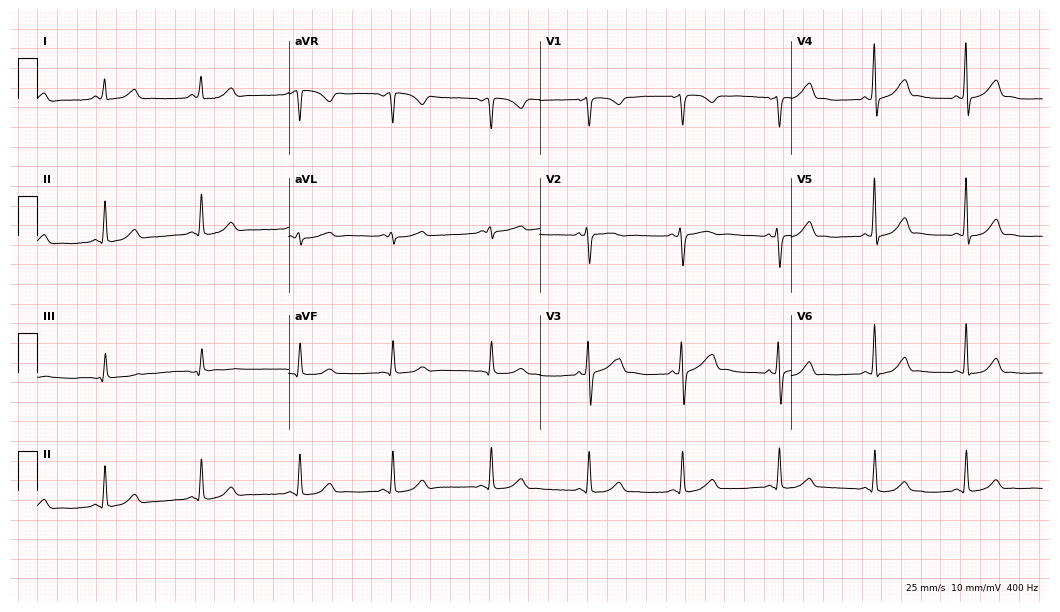
Resting 12-lead electrocardiogram. Patient: a woman, 33 years old. None of these six findings is recorded: first-degree AV block, right bundle branch block, left bundle branch block, sinus bradycardia, atrial fibrillation, sinus tachycardia. Findings outside these six are not listed.